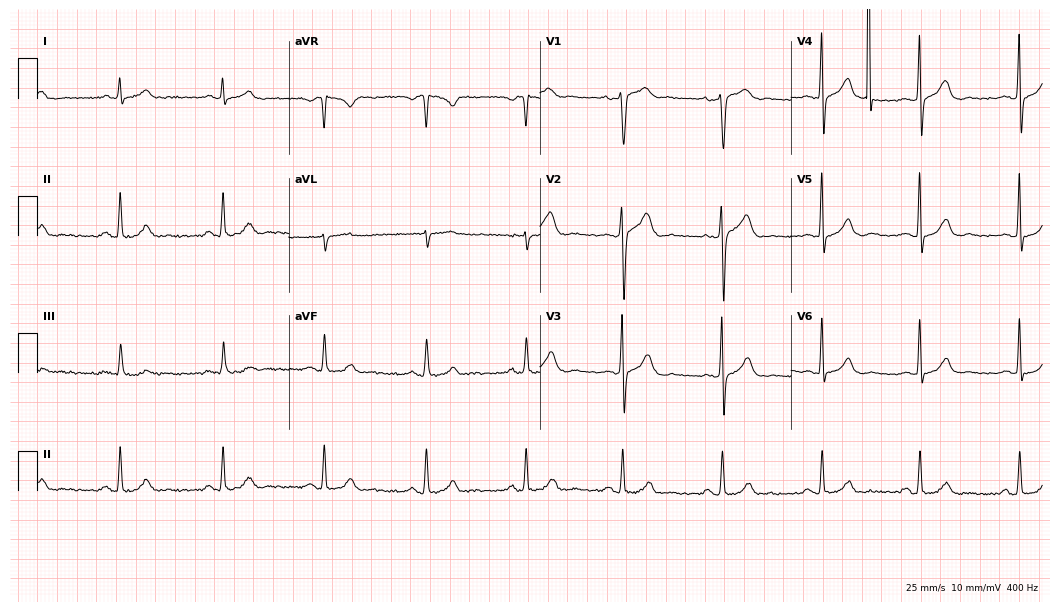
Standard 12-lead ECG recorded from a male, 45 years old. Read as a normal ECG.